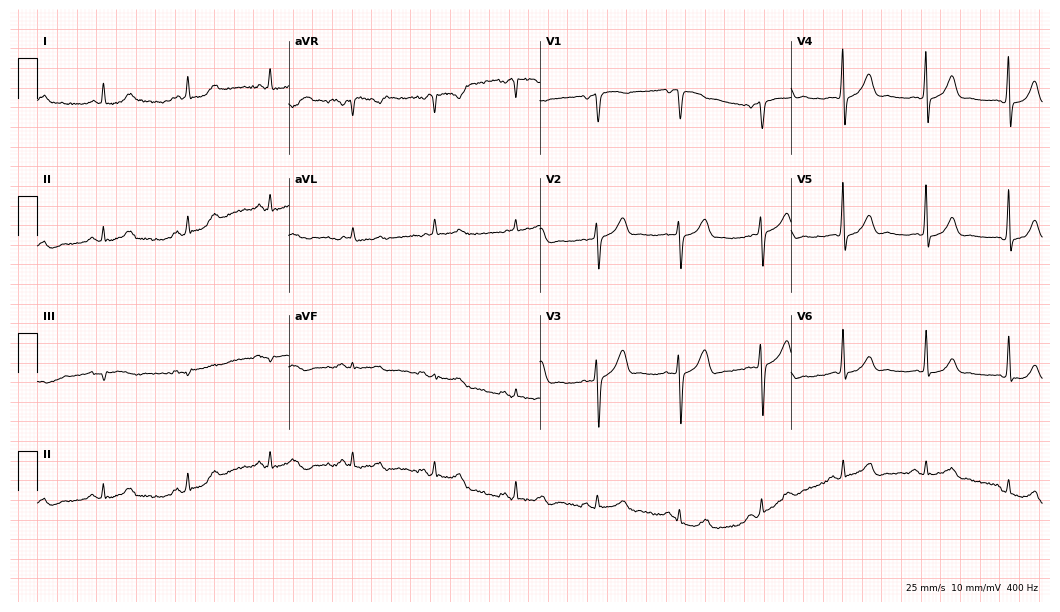
Resting 12-lead electrocardiogram (10.2-second recording at 400 Hz). Patient: a male, 61 years old. Read as a normal ECG.